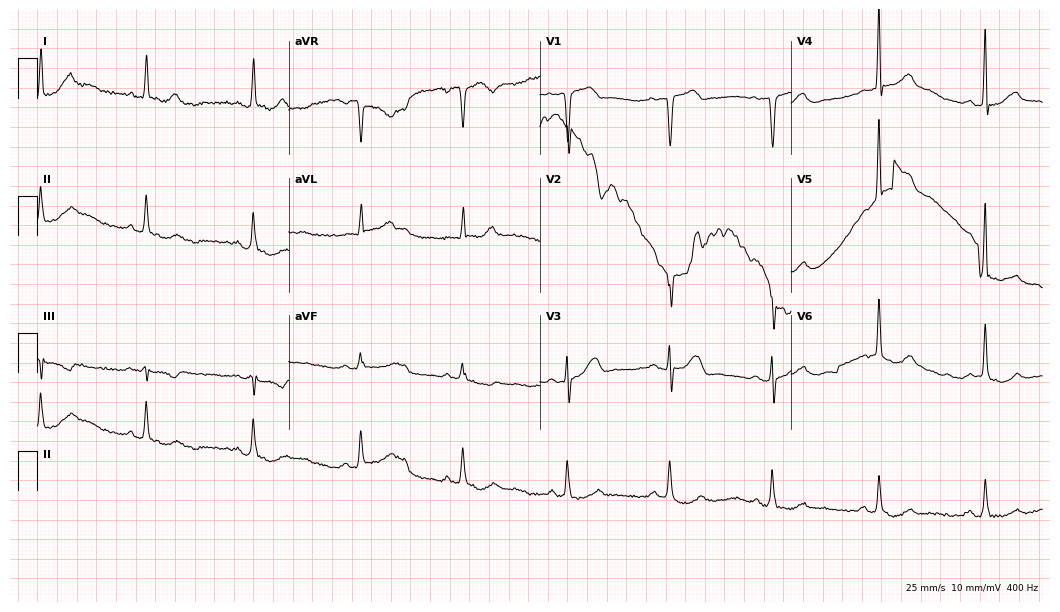
Resting 12-lead electrocardiogram. Patient: a male, 82 years old. None of these six findings is recorded: first-degree AV block, right bundle branch block, left bundle branch block, sinus bradycardia, atrial fibrillation, sinus tachycardia. Other findings, if any, are not listed.